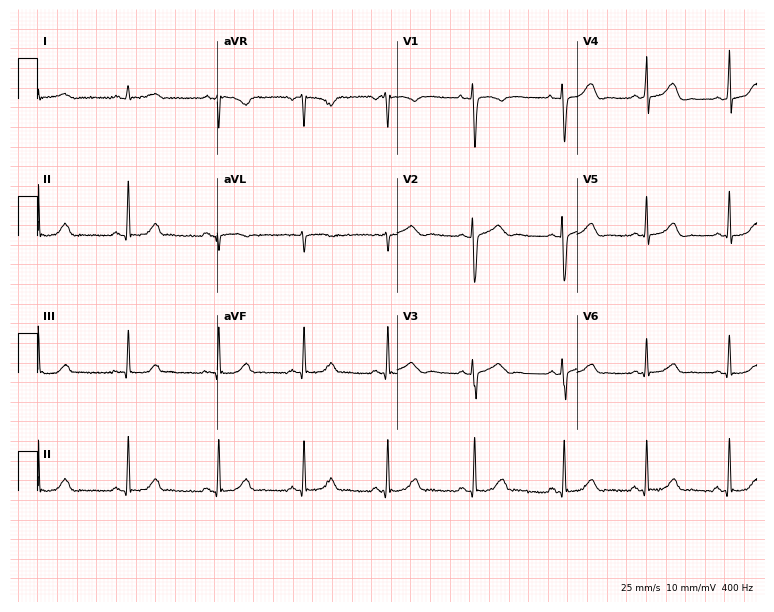
12-lead ECG (7.3-second recording at 400 Hz) from a female patient, 31 years old. Screened for six findings — first-degree AV block, right bundle branch block (RBBB), left bundle branch block (LBBB), sinus bradycardia, atrial fibrillation (AF), sinus tachycardia — none is recorded. Only these six findings were labelled.